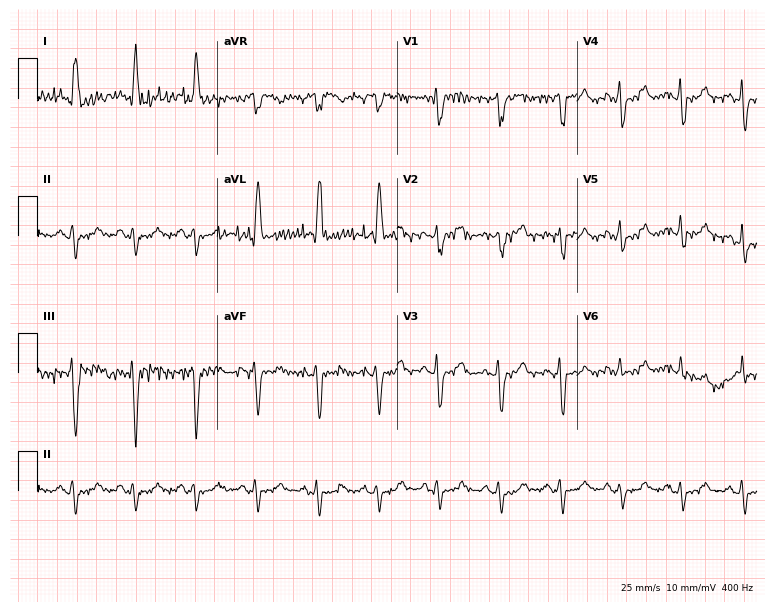
Standard 12-lead ECG recorded from a female, 76 years old (7.3-second recording at 400 Hz). None of these six findings is recorded: first-degree AV block, right bundle branch block, left bundle branch block, sinus bradycardia, atrial fibrillation, sinus tachycardia. Only these six findings were labelled.